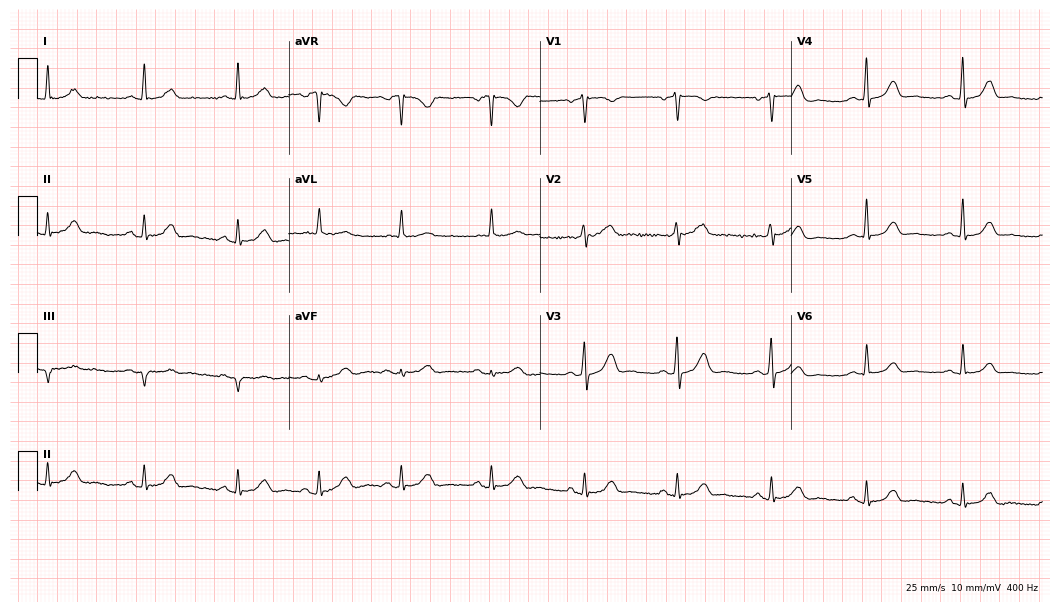
Standard 12-lead ECG recorded from a 58-year-old woman. None of these six findings is recorded: first-degree AV block, right bundle branch block, left bundle branch block, sinus bradycardia, atrial fibrillation, sinus tachycardia.